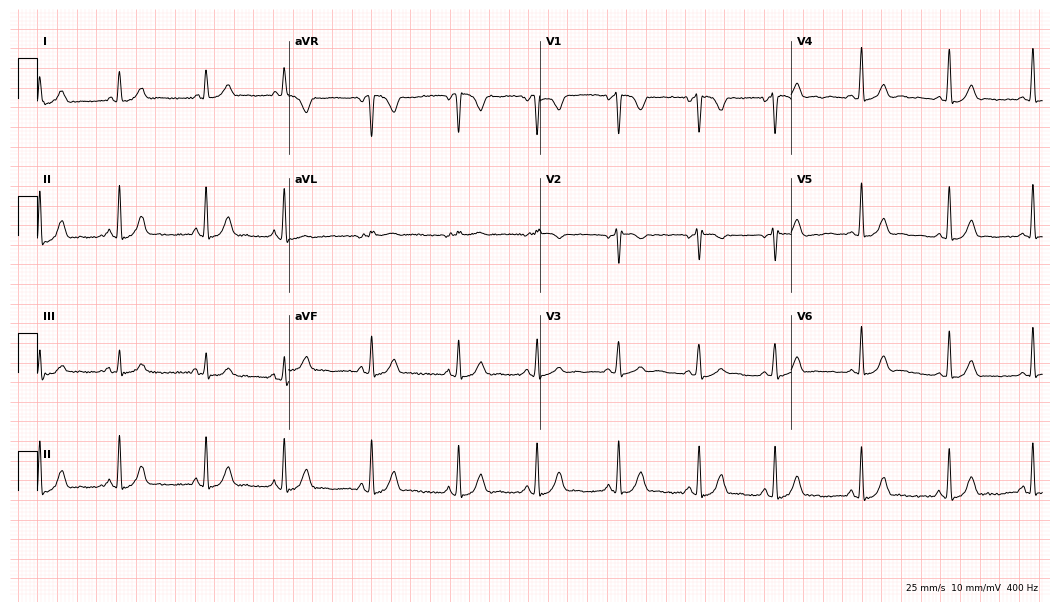
Standard 12-lead ECG recorded from a 22-year-old woman (10.2-second recording at 400 Hz). Read as a normal ECG.